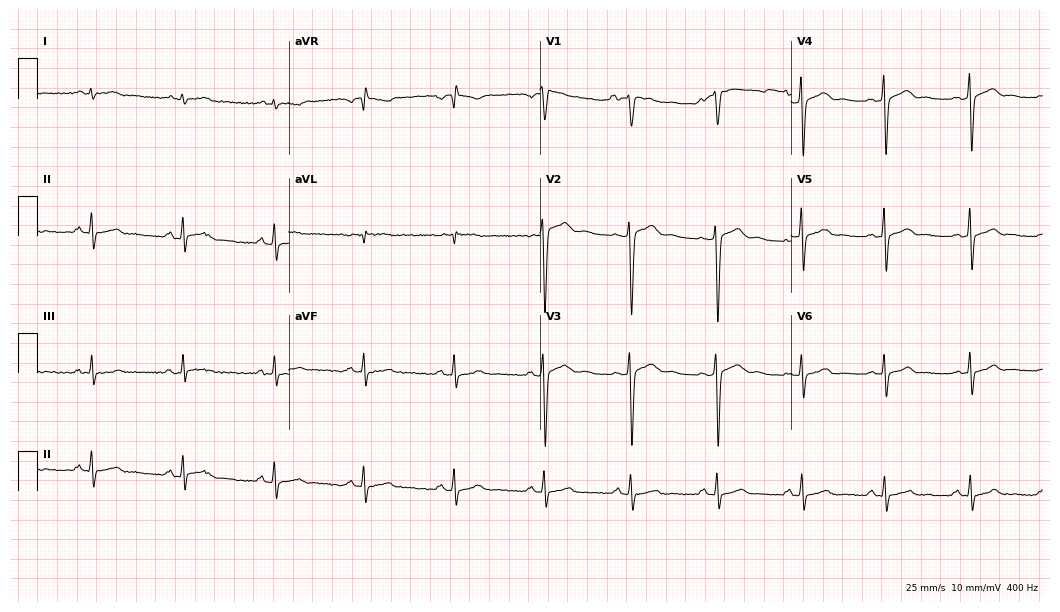
12-lead ECG (10.2-second recording at 400 Hz) from a 42-year-old male. Screened for six findings — first-degree AV block, right bundle branch block, left bundle branch block, sinus bradycardia, atrial fibrillation, sinus tachycardia — none is recorded. Findings outside these six are not listed.